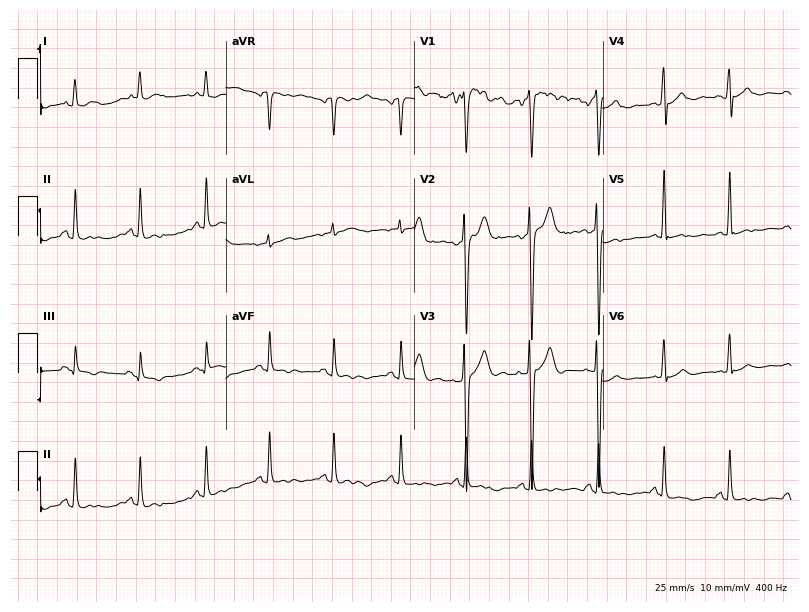
Standard 12-lead ECG recorded from a man, 34 years old (7.7-second recording at 400 Hz). None of these six findings is recorded: first-degree AV block, right bundle branch block, left bundle branch block, sinus bradycardia, atrial fibrillation, sinus tachycardia.